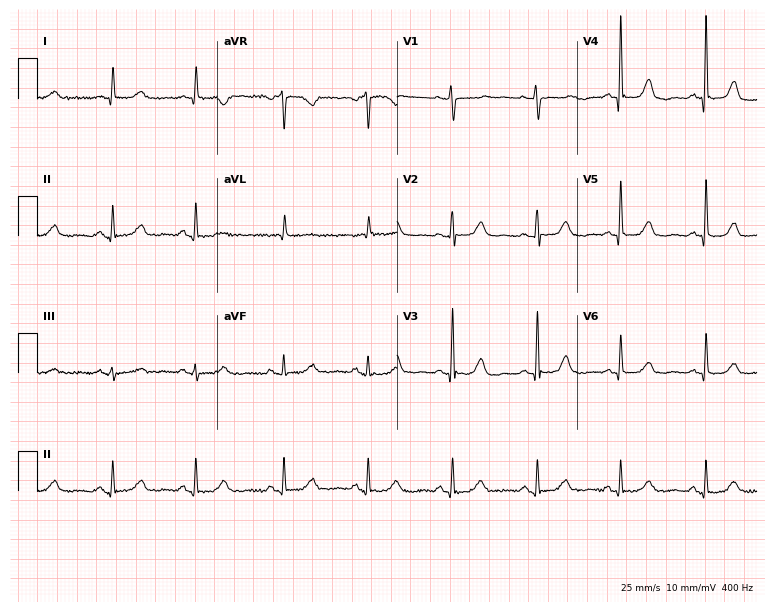
Standard 12-lead ECG recorded from a female, 82 years old (7.3-second recording at 400 Hz). Read as a normal ECG.